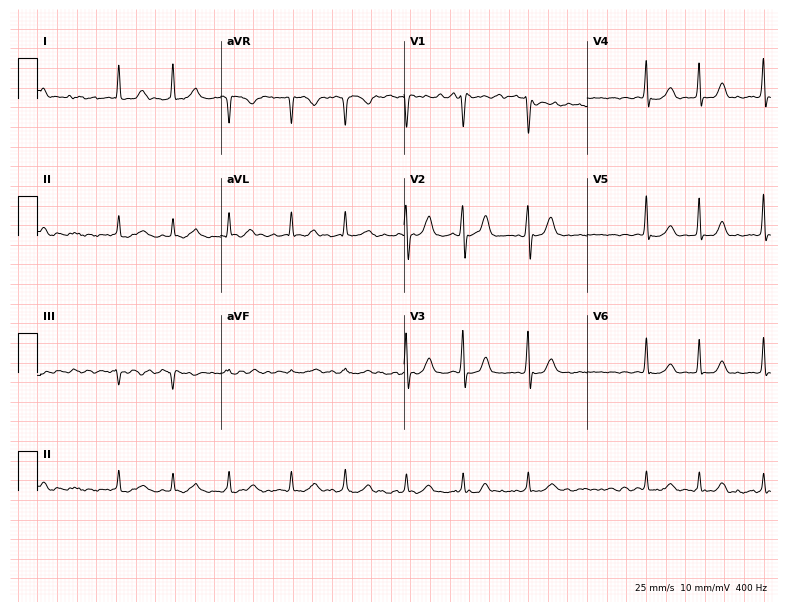
12-lead ECG from a 76-year-old male. Shows atrial fibrillation (AF).